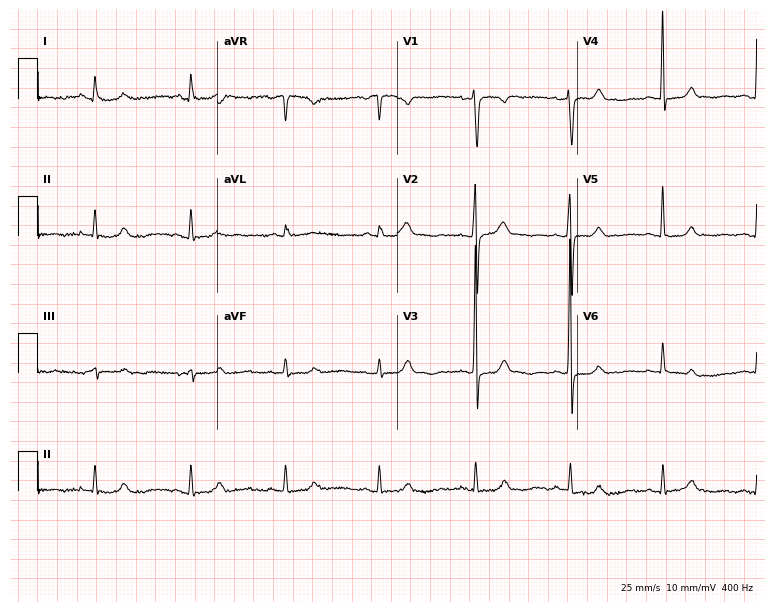
Standard 12-lead ECG recorded from a 77-year-old female. Read as a normal ECG.